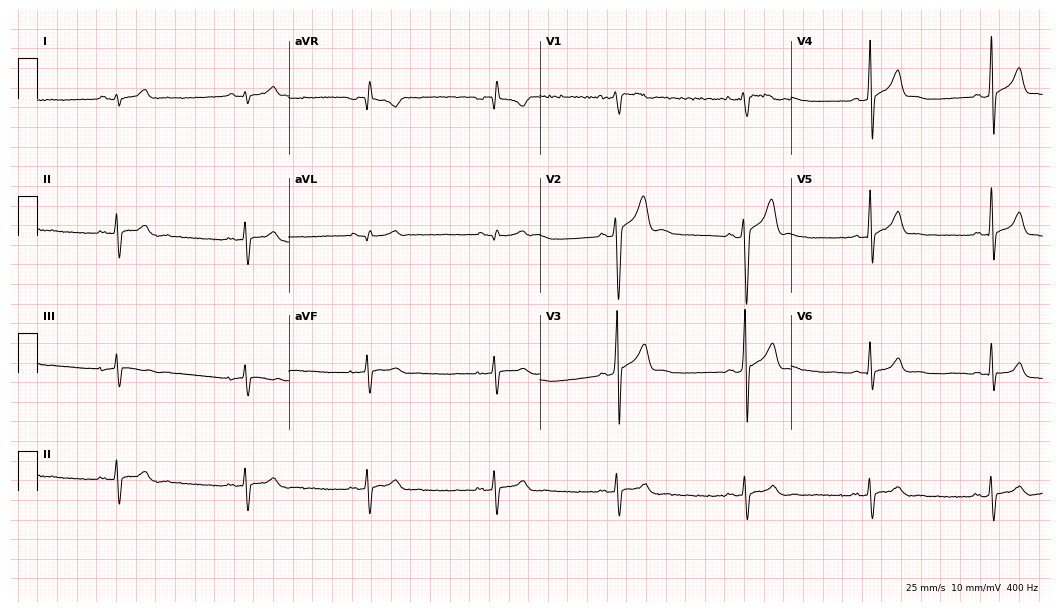
12-lead ECG from a 23-year-old male patient (10.2-second recording at 400 Hz). Shows sinus bradycardia (a sinus rate of 50 beats per minute or less).